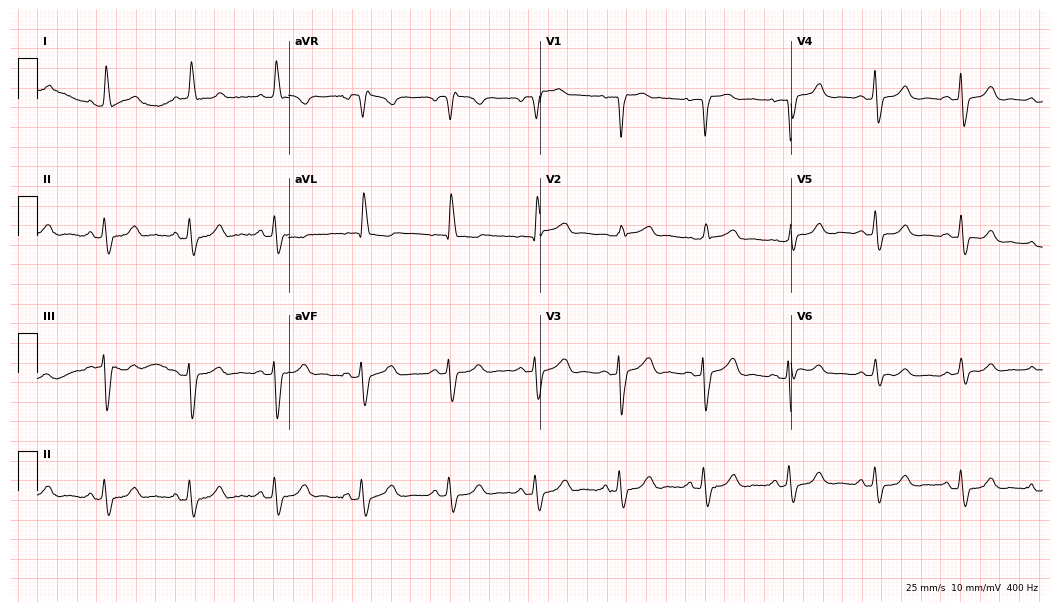
ECG (10.2-second recording at 400 Hz) — a woman, 80 years old. Screened for six findings — first-degree AV block, right bundle branch block (RBBB), left bundle branch block (LBBB), sinus bradycardia, atrial fibrillation (AF), sinus tachycardia — none is recorded.